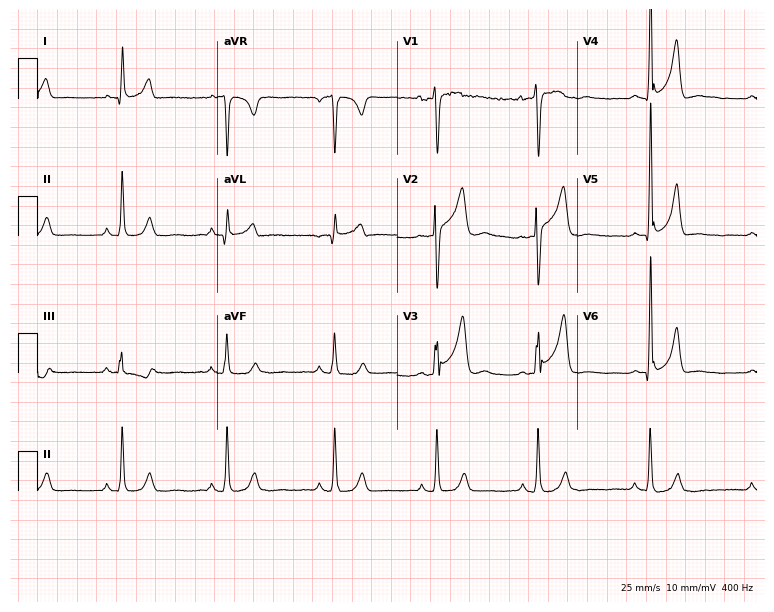
12-lead ECG from a 29-year-old male patient. No first-degree AV block, right bundle branch block, left bundle branch block, sinus bradycardia, atrial fibrillation or sinus tachycardia recorded for this tracing. Only these six findings were labelled.